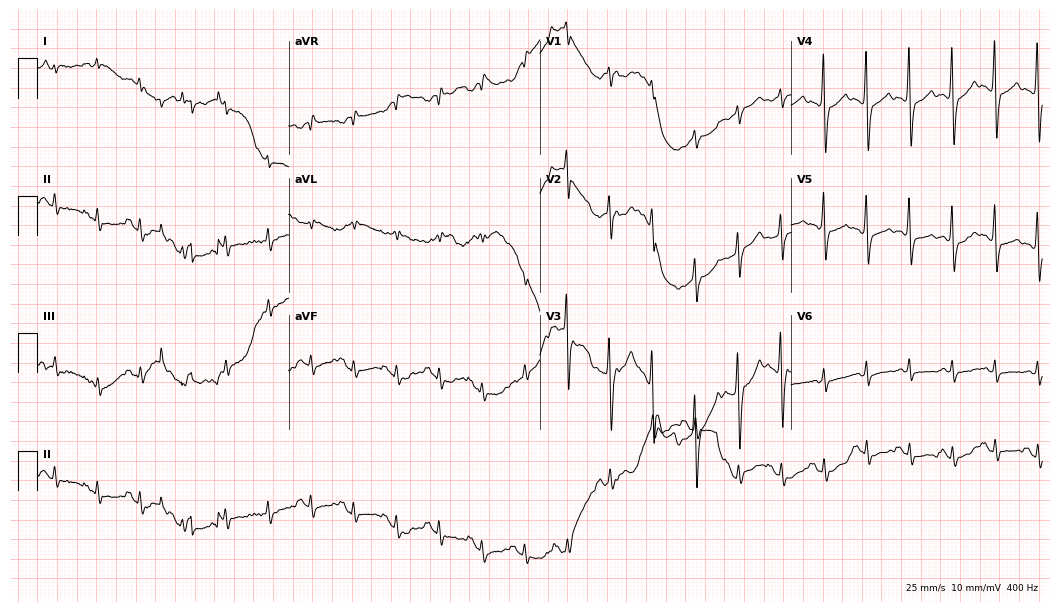
12-lead ECG (10.2-second recording at 400 Hz) from a 60-year-old man. Screened for six findings — first-degree AV block, right bundle branch block (RBBB), left bundle branch block (LBBB), sinus bradycardia, atrial fibrillation (AF), sinus tachycardia — none is recorded.